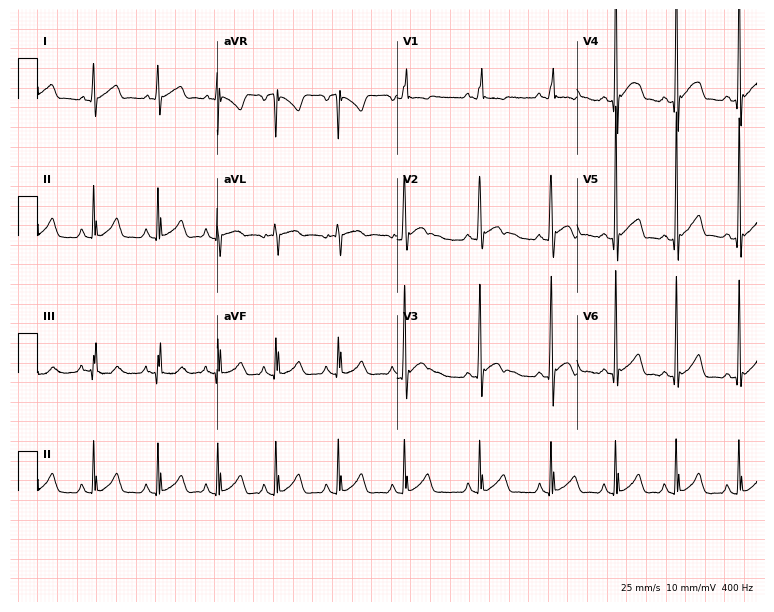
Resting 12-lead electrocardiogram (7.3-second recording at 400 Hz). Patient: a 17-year-old male. Read as a normal ECG.